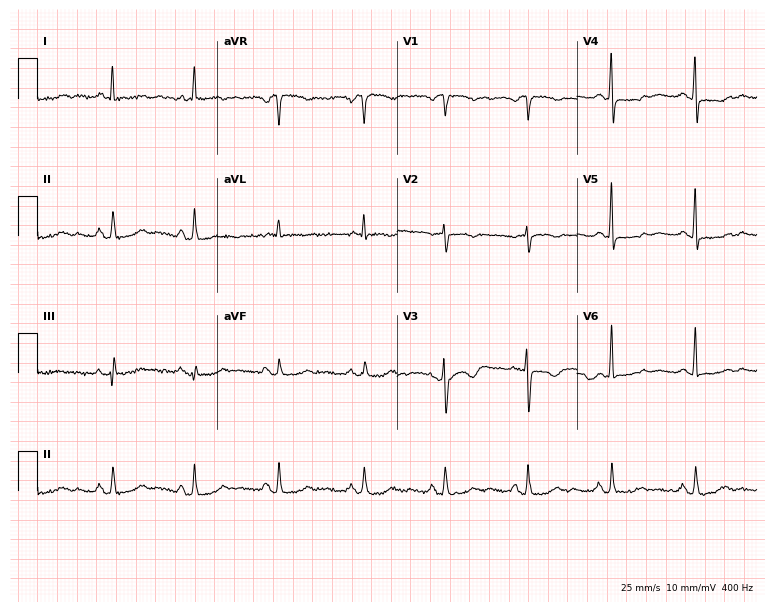
12-lead ECG (7.3-second recording at 400 Hz) from a woman, 62 years old. Screened for six findings — first-degree AV block, right bundle branch block (RBBB), left bundle branch block (LBBB), sinus bradycardia, atrial fibrillation (AF), sinus tachycardia — none is recorded.